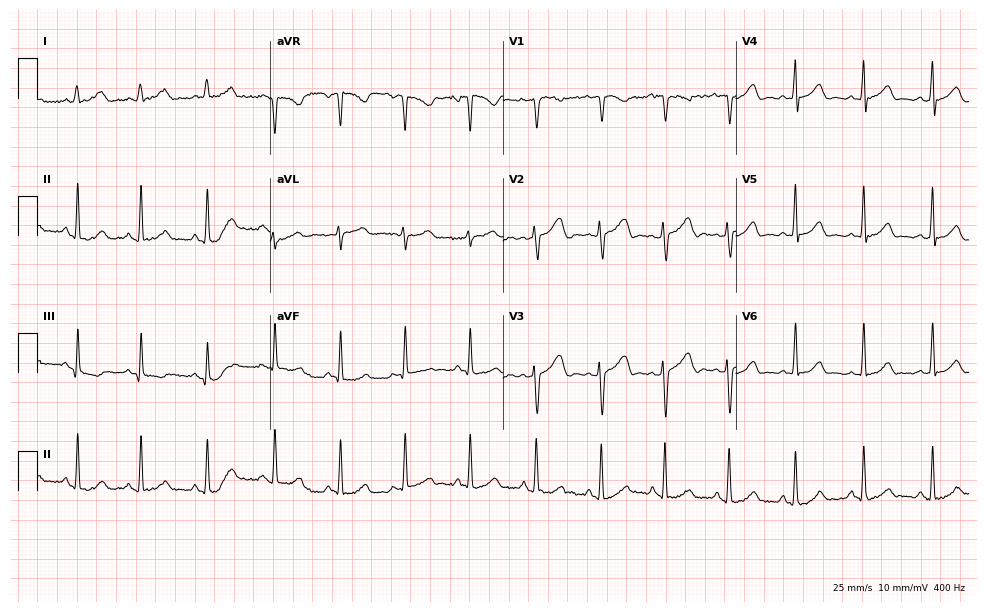
12-lead ECG from a woman, 23 years old. Labelled as a normal ECG.